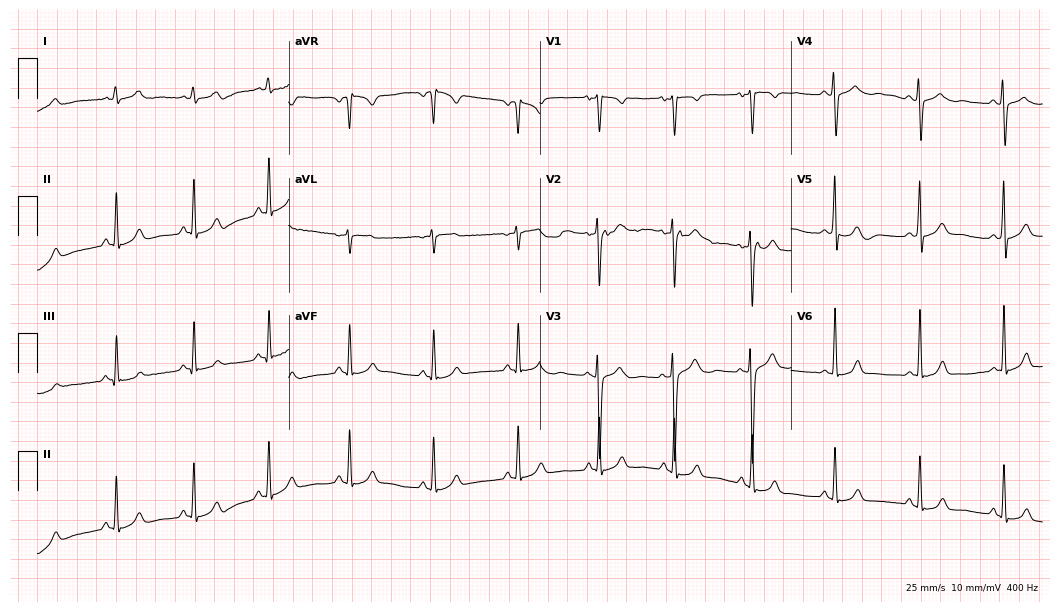
Electrocardiogram (10.2-second recording at 400 Hz), a female patient, 22 years old. Overall reading on record: normal ECG.